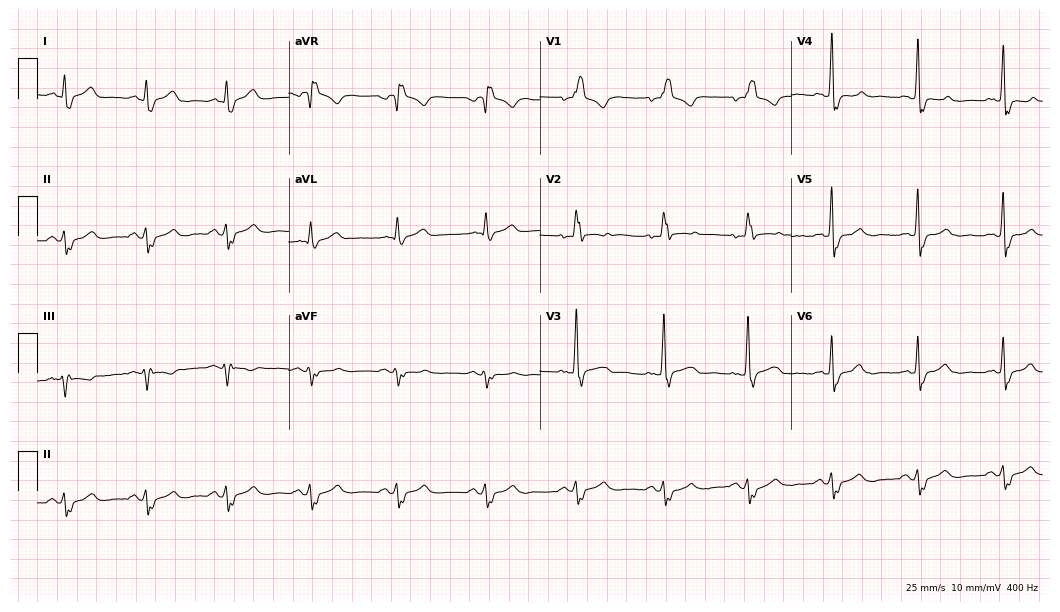
12-lead ECG from a man, 46 years old. Findings include right bundle branch block (RBBB).